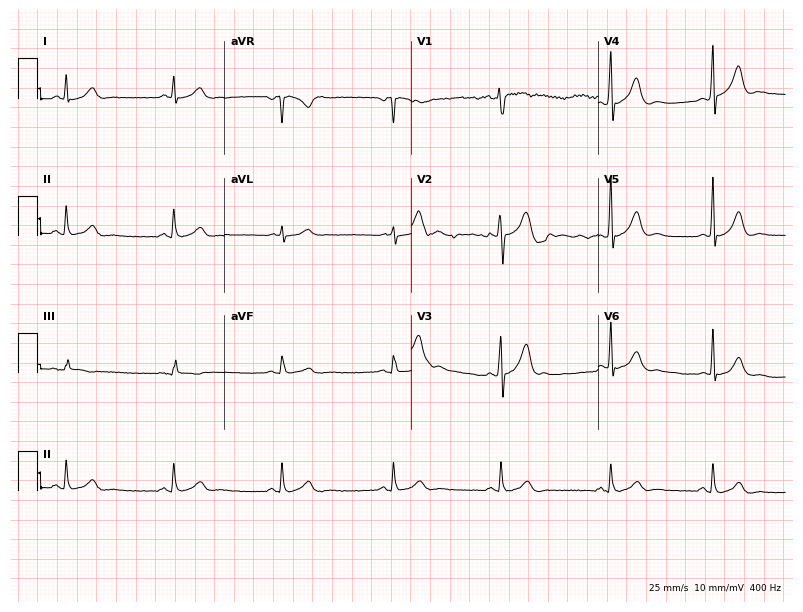
Resting 12-lead electrocardiogram. Patient: a male, 57 years old. Read as a normal ECG.